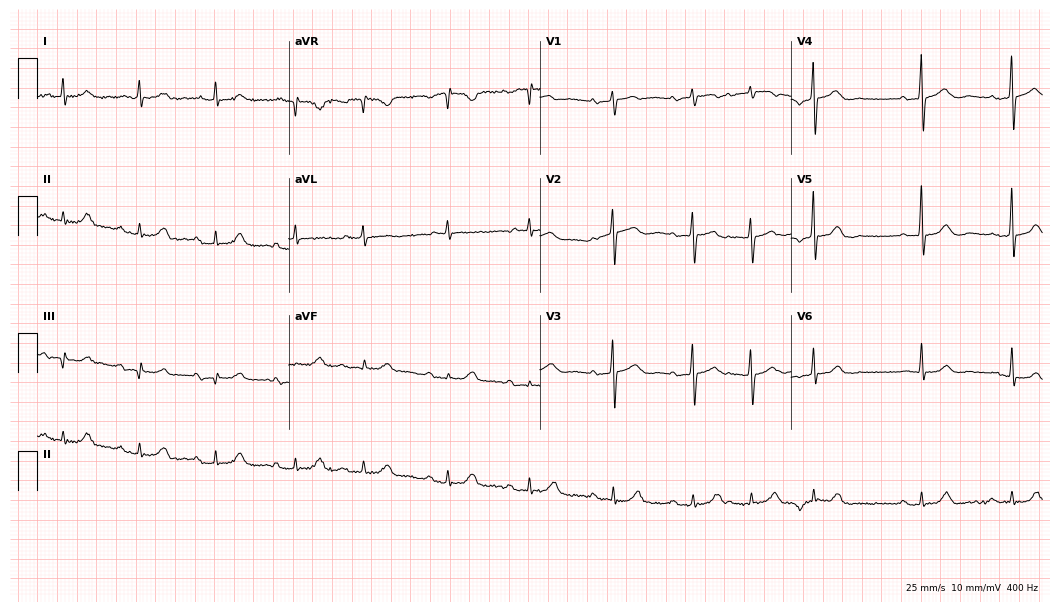
Standard 12-lead ECG recorded from a 79-year-old woman. None of these six findings is recorded: first-degree AV block, right bundle branch block (RBBB), left bundle branch block (LBBB), sinus bradycardia, atrial fibrillation (AF), sinus tachycardia.